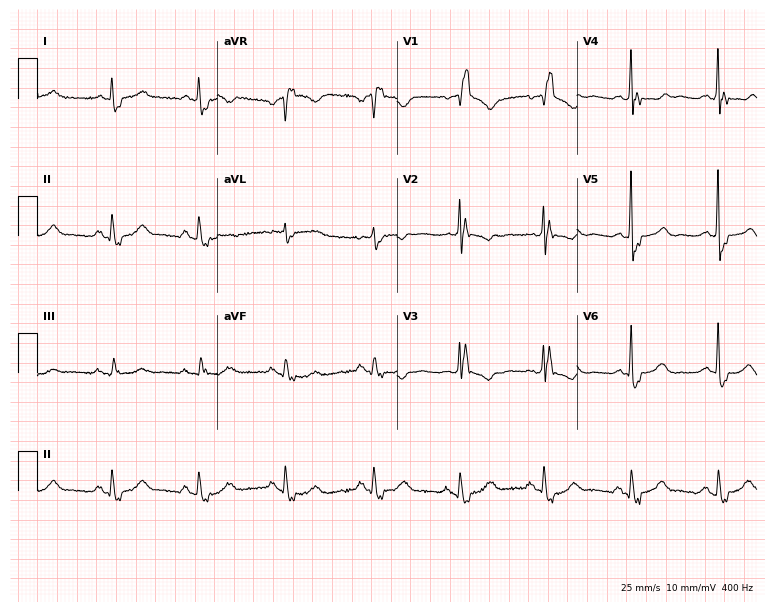
Electrocardiogram (7.3-second recording at 400 Hz), a female patient, 75 years old. Interpretation includes right bundle branch block.